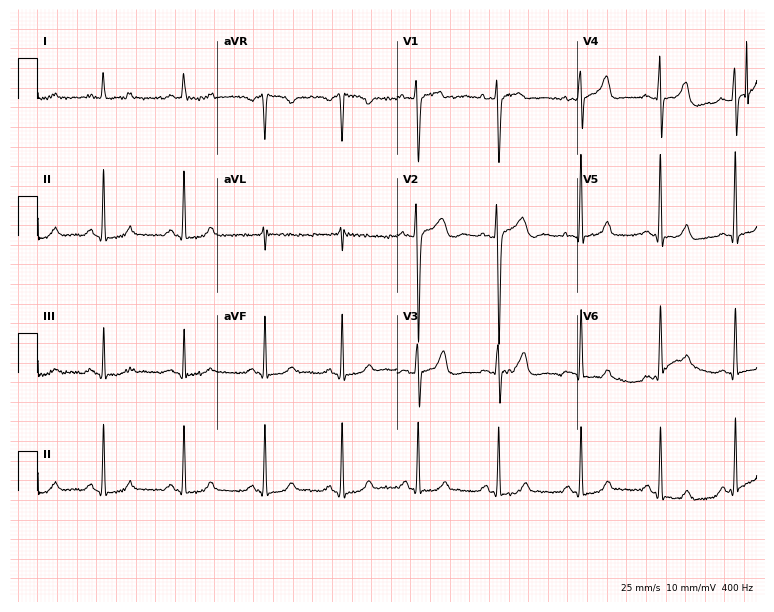
12-lead ECG from a 30-year-old female. No first-degree AV block, right bundle branch block, left bundle branch block, sinus bradycardia, atrial fibrillation or sinus tachycardia recorded for this tracing.